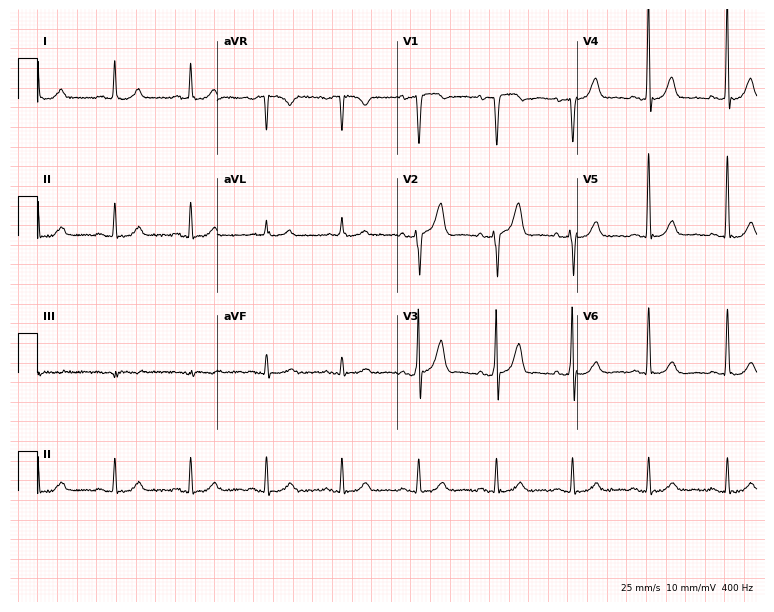
ECG (7.3-second recording at 400 Hz) — a 57-year-old male patient. Labelled as a normal ECG.